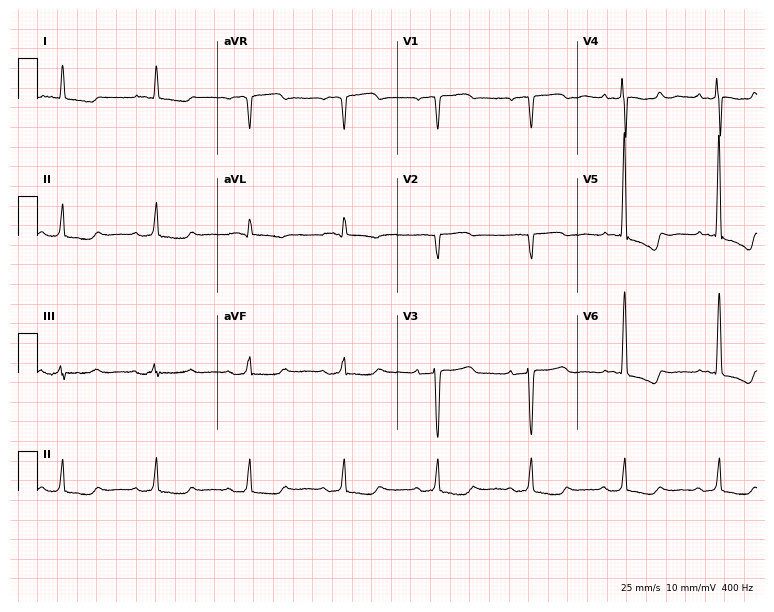
Standard 12-lead ECG recorded from a 68-year-old female patient (7.3-second recording at 400 Hz). The tracing shows first-degree AV block.